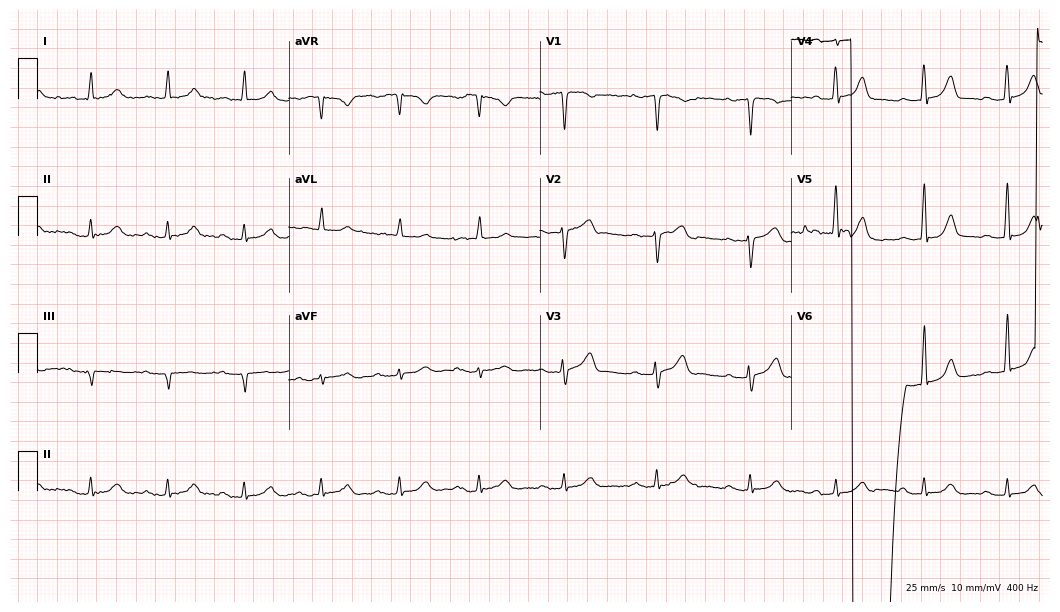
Resting 12-lead electrocardiogram (10.2-second recording at 400 Hz). Patient: a 73-year-old male. The tracing shows first-degree AV block.